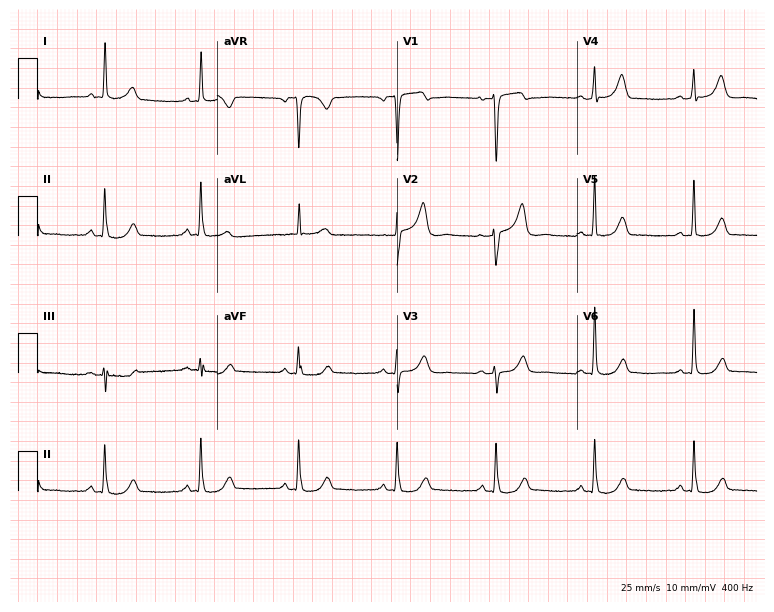
Standard 12-lead ECG recorded from a female patient, 64 years old. None of these six findings is recorded: first-degree AV block, right bundle branch block (RBBB), left bundle branch block (LBBB), sinus bradycardia, atrial fibrillation (AF), sinus tachycardia. Only these six findings were labelled.